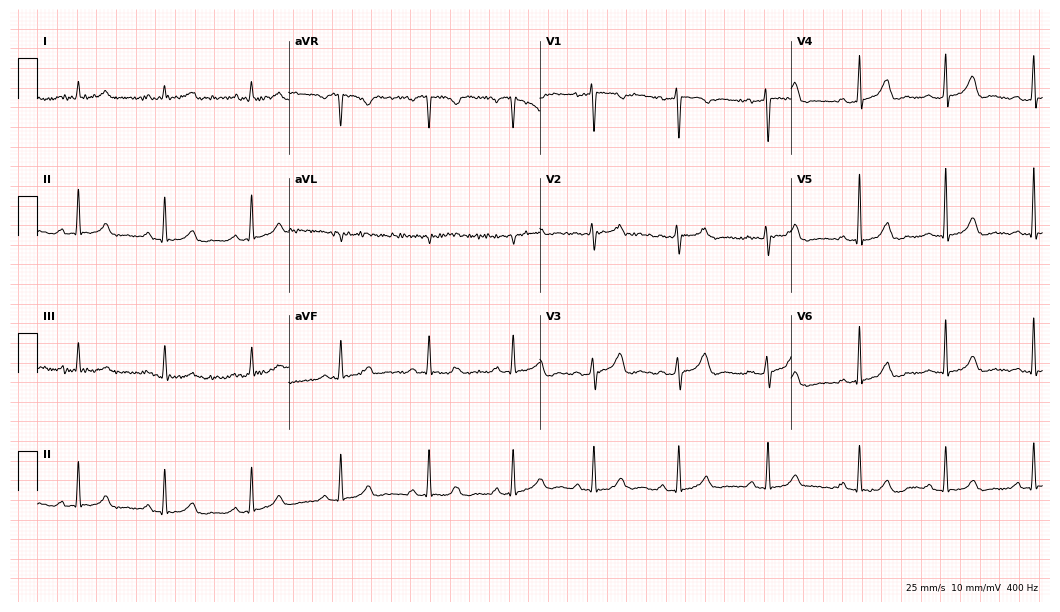
Electrocardiogram (10.2-second recording at 400 Hz), a 37-year-old female. Of the six screened findings (first-degree AV block, right bundle branch block, left bundle branch block, sinus bradycardia, atrial fibrillation, sinus tachycardia), none is recorded.